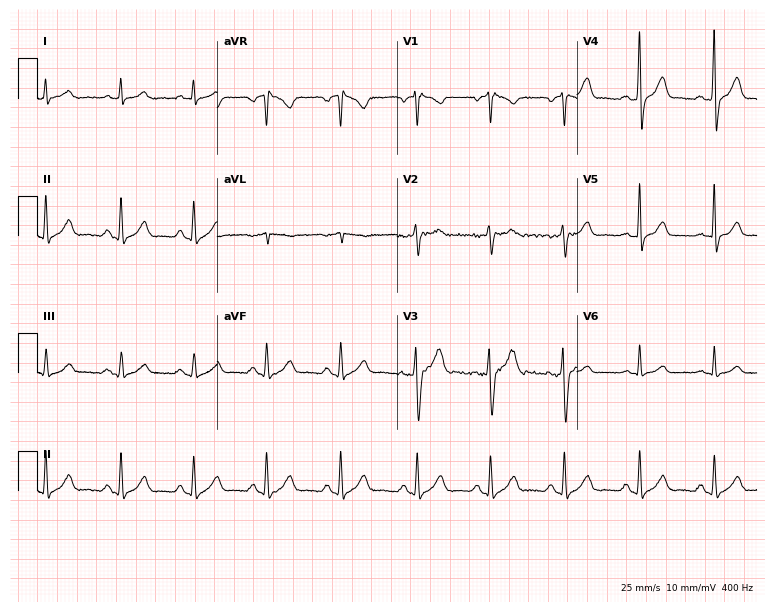
Electrocardiogram (7.3-second recording at 400 Hz), a man, 28 years old. Of the six screened findings (first-degree AV block, right bundle branch block, left bundle branch block, sinus bradycardia, atrial fibrillation, sinus tachycardia), none is recorded. Only these six findings were labelled.